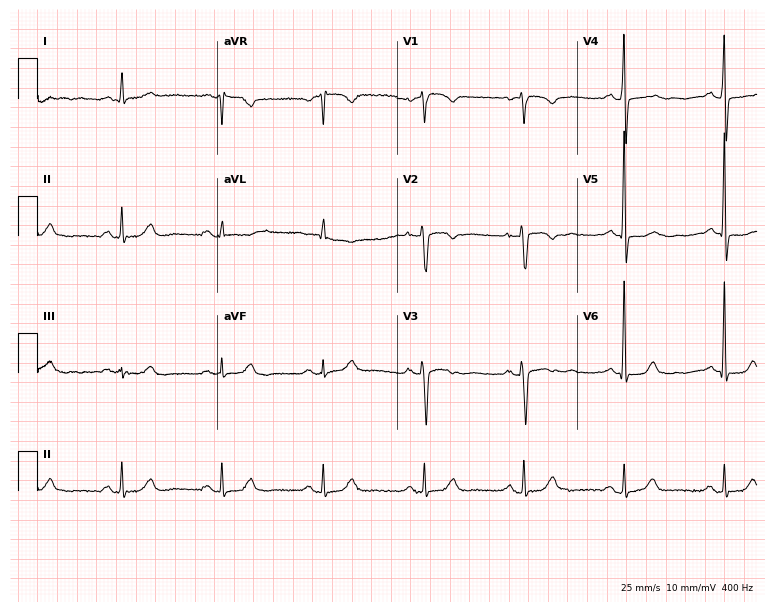
Resting 12-lead electrocardiogram (7.3-second recording at 400 Hz). Patient: a 79-year-old male. None of these six findings is recorded: first-degree AV block, right bundle branch block, left bundle branch block, sinus bradycardia, atrial fibrillation, sinus tachycardia. Other findings, if any, are not listed.